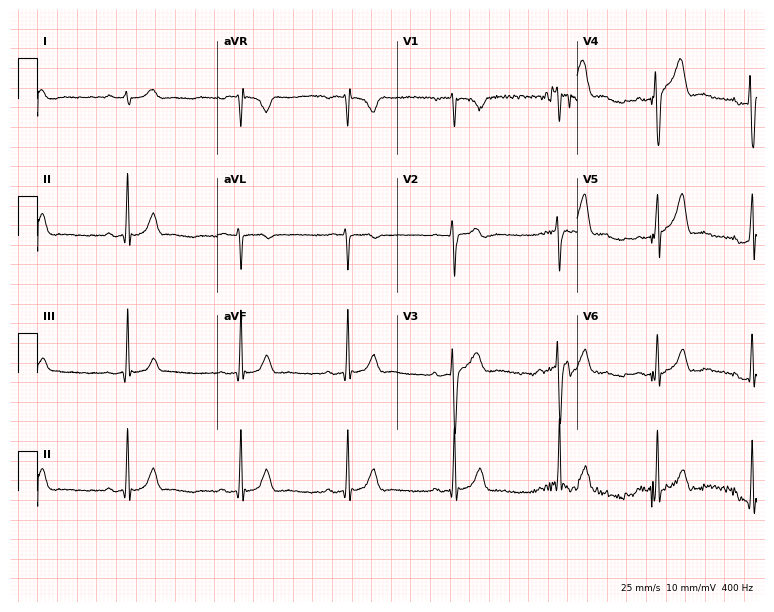
ECG (7.3-second recording at 400 Hz) — a 30-year-old male. Screened for six findings — first-degree AV block, right bundle branch block, left bundle branch block, sinus bradycardia, atrial fibrillation, sinus tachycardia — none is recorded.